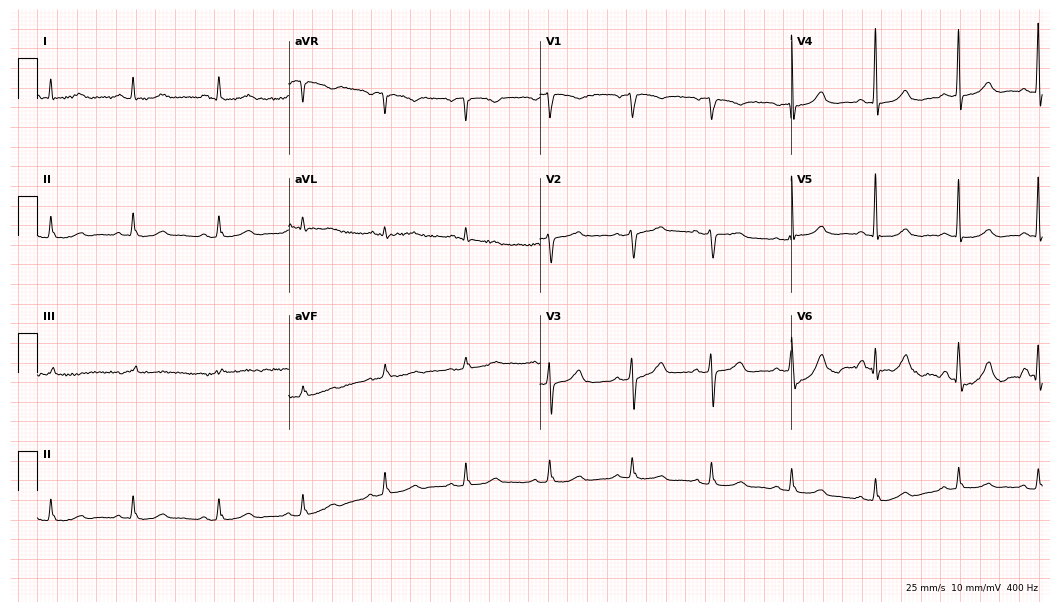
12-lead ECG from a woman, 69 years old (10.2-second recording at 400 Hz). Recorded interpretation: within normal limits.